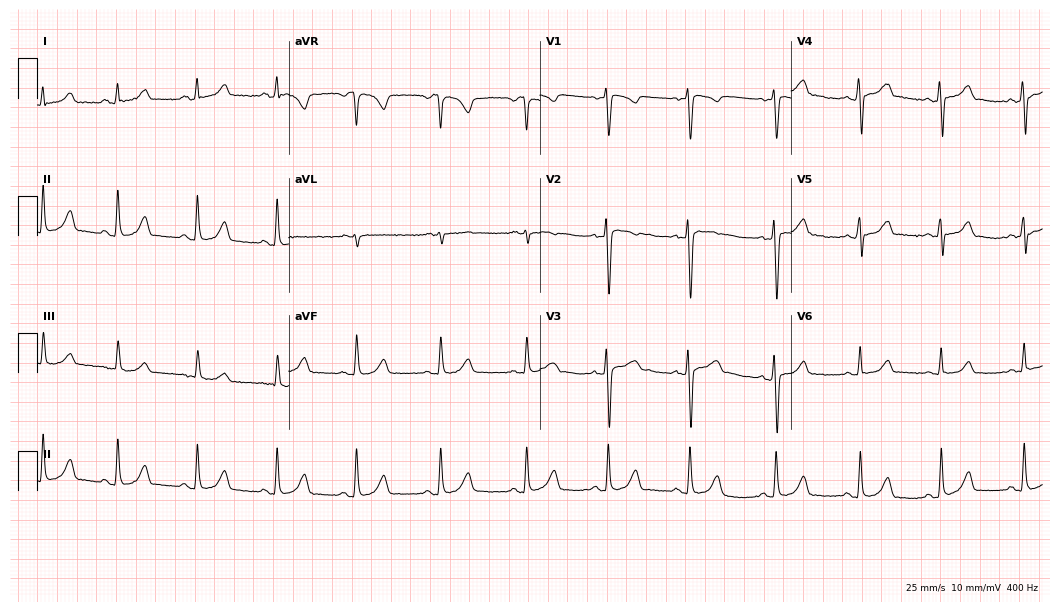
12-lead ECG from a woman, 21 years old (10.2-second recording at 400 Hz). Recorded interpretation: within normal limits.